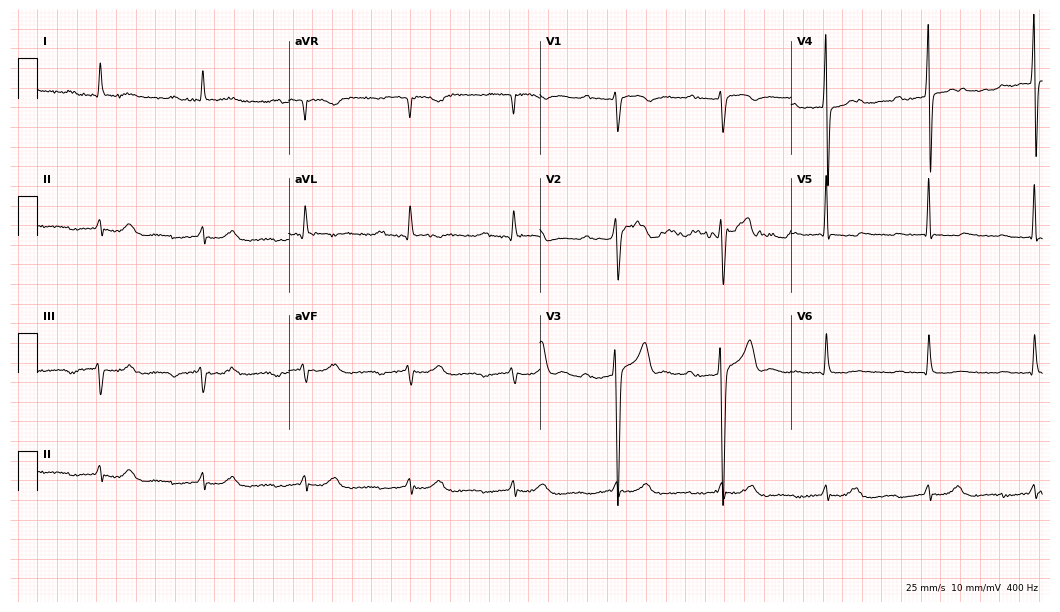
Standard 12-lead ECG recorded from a man, 62 years old (10.2-second recording at 400 Hz). The tracing shows first-degree AV block.